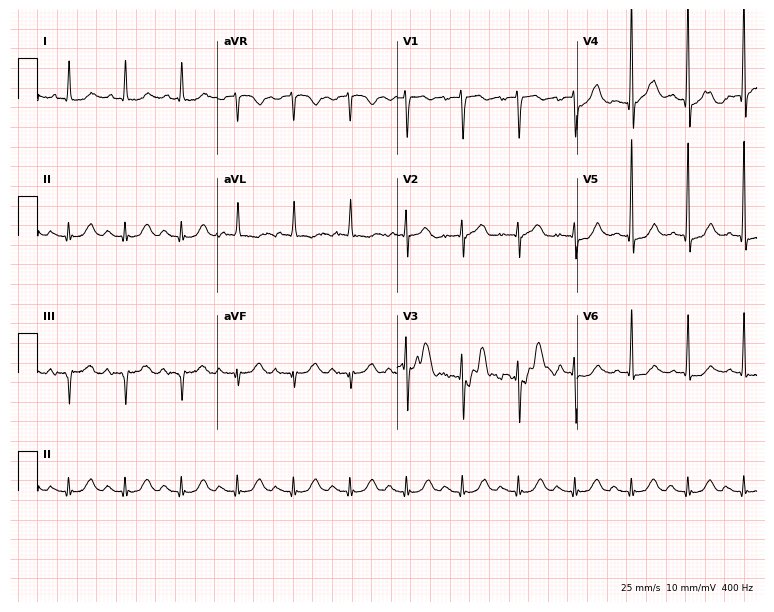
12-lead ECG from a male, 85 years old. Findings include sinus tachycardia (a sinus rate of 100 beats per minute or more).